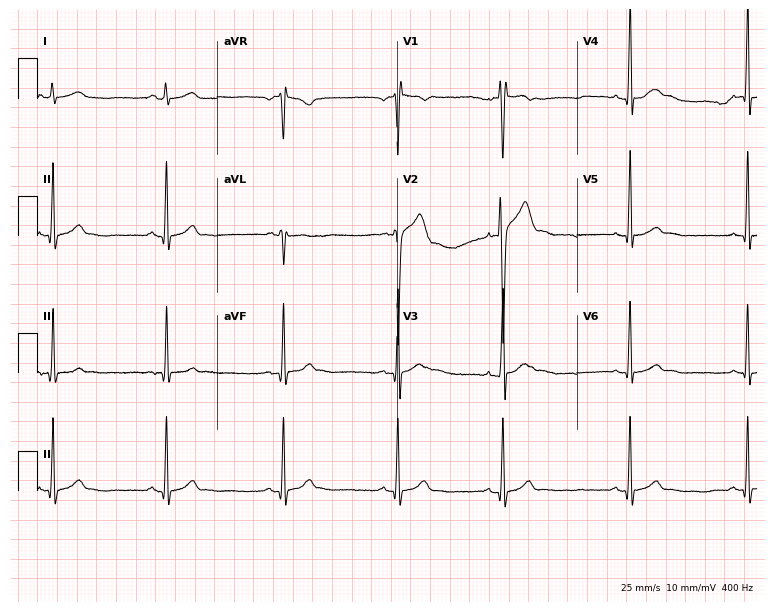
Standard 12-lead ECG recorded from a 20-year-old man. Read as a normal ECG.